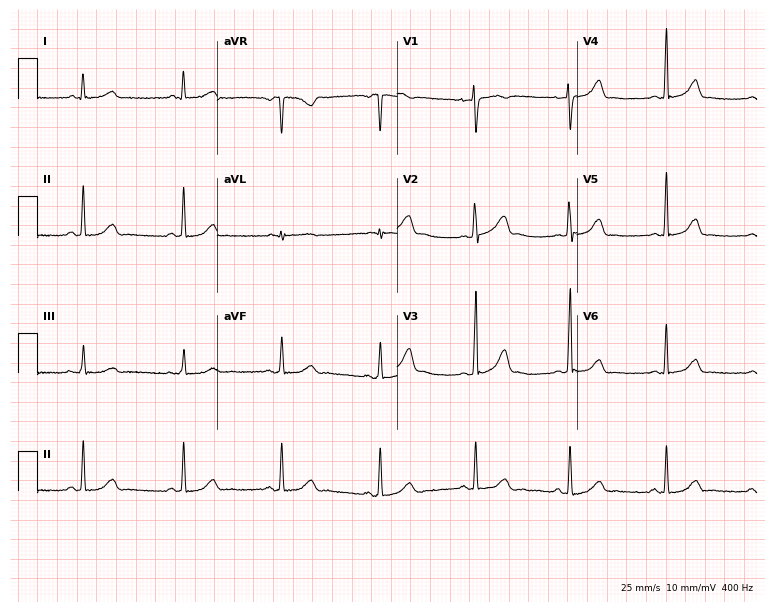
ECG — a female patient, 43 years old. Labelled as a normal ECG.